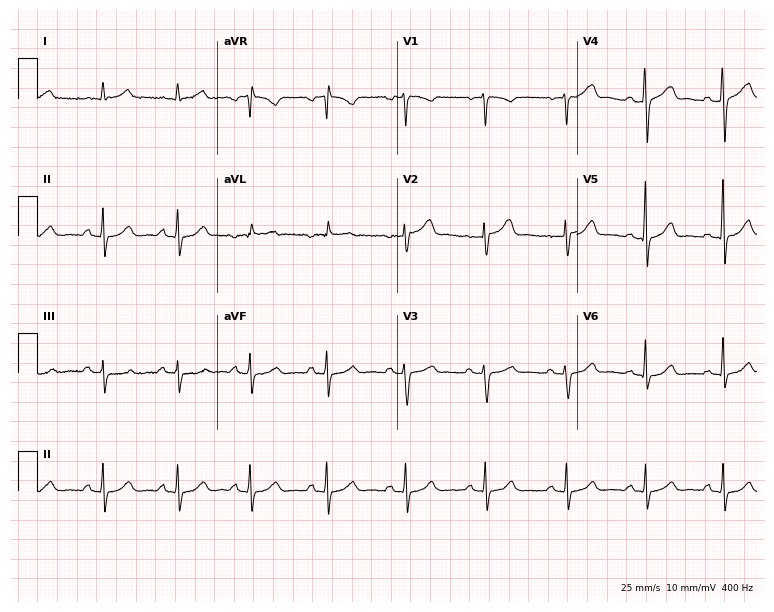
12-lead ECG from a man, 46 years old. Labelled as a normal ECG.